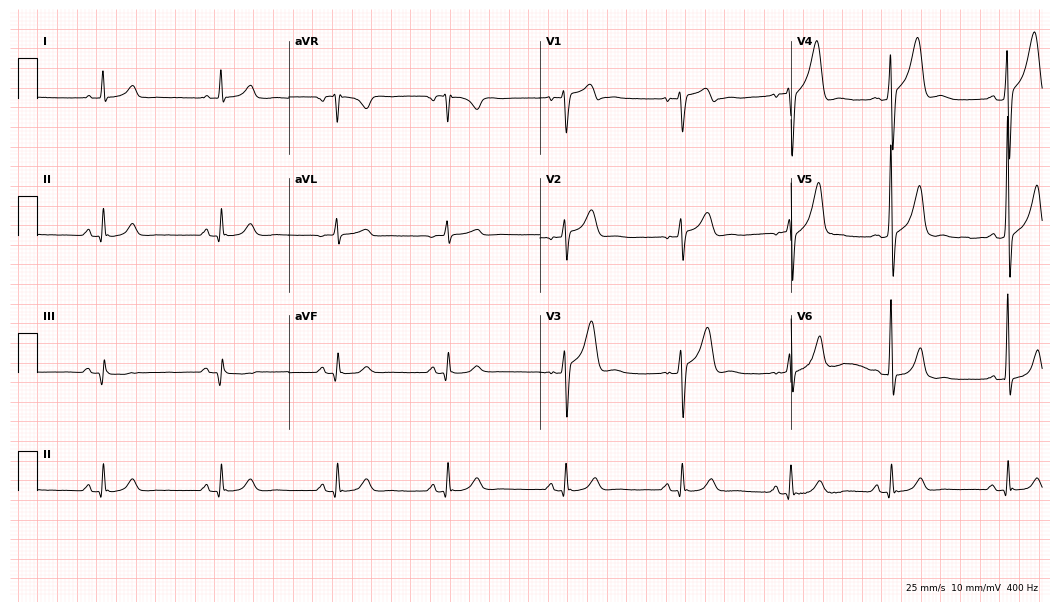
12-lead ECG (10.2-second recording at 400 Hz) from a 43-year-old man. Screened for six findings — first-degree AV block, right bundle branch block, left bundle branch block, sinus bradycardia, atrial fibrillation, sinus tachycardia — none is recorded. Only these six findings were labelled.